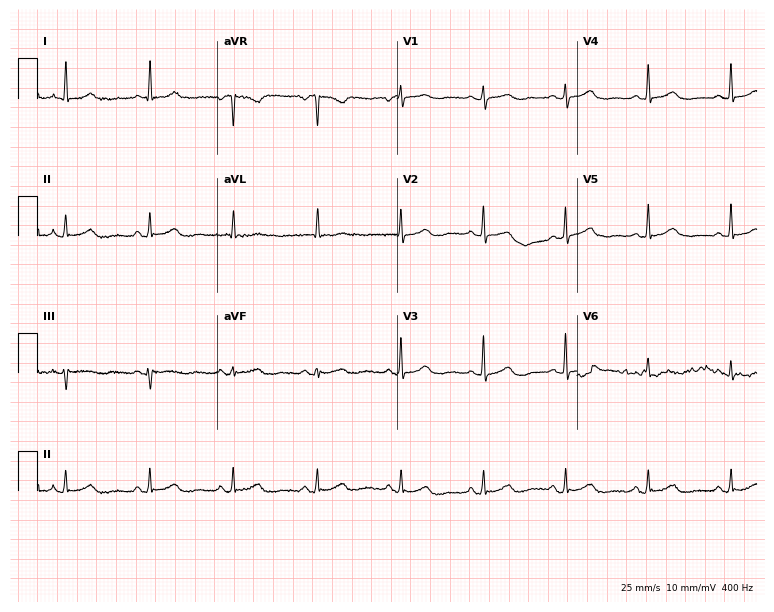
Standard 12-lead ECG recorded from an 80-year-old female. Read as a normal ECG.